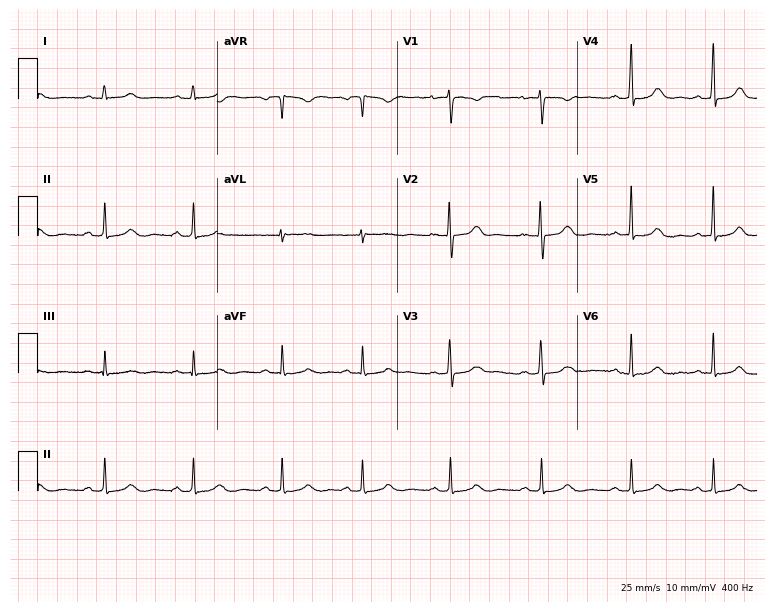
Standard 12-lead ECG recorded from a female patient, 23 years old. Read as a normal ECG.